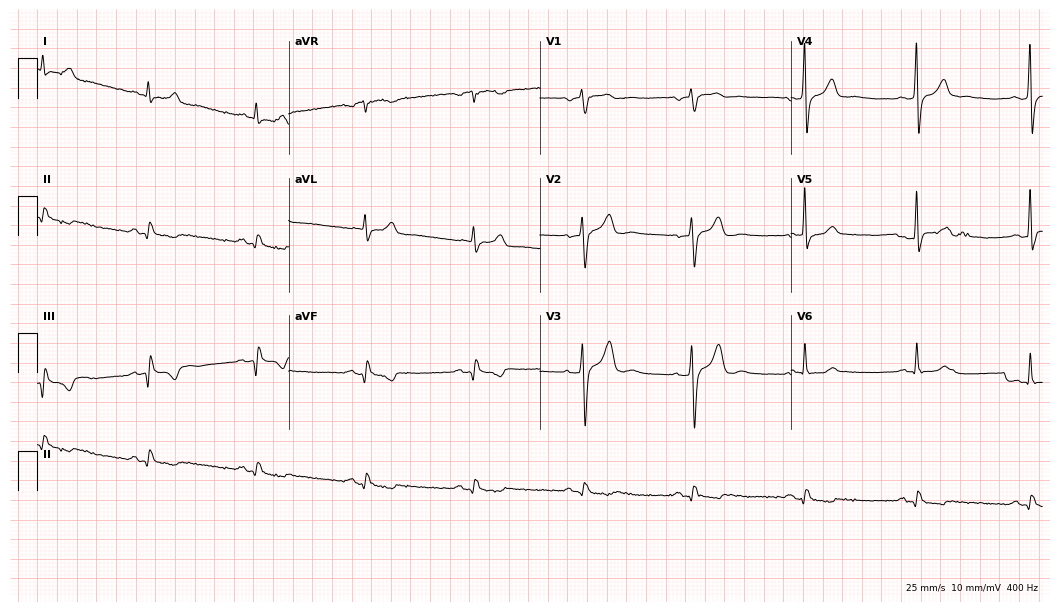
Standard 12-lead ECG recorded from a 74-year-old man. None of these six findings is recorded: first-degree AV block, right bundle branch block (RBBB), left bundle branch block (LBBB), sinus bradycardia, atrial fibrillation (AF), sinus tachycardia. Other findings, if any, are not listed.